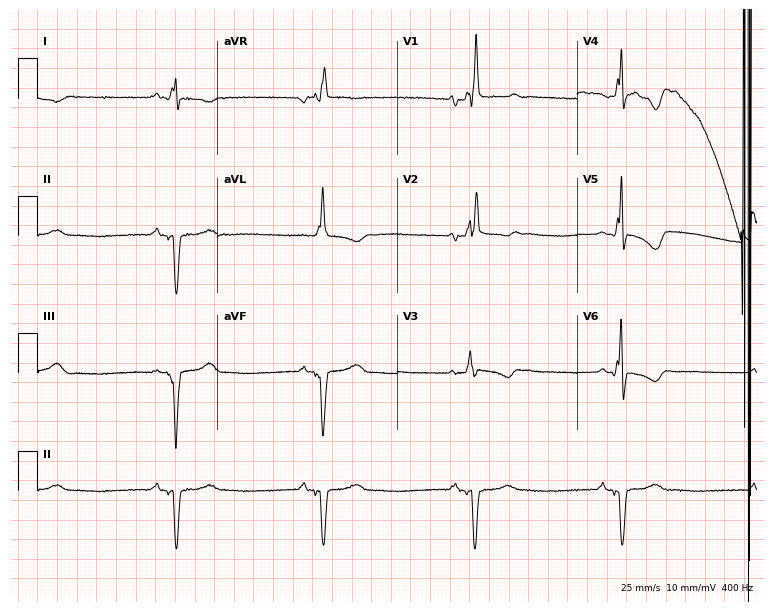
Resting 12-lead electrocardiogram (7.3-second recording at 400 Hz). Patient: a 55-year-old man. The tracing shows right bundle branch block (RBBB), sinus bradycardia (a sinus rate of 50 beats per minute or less).